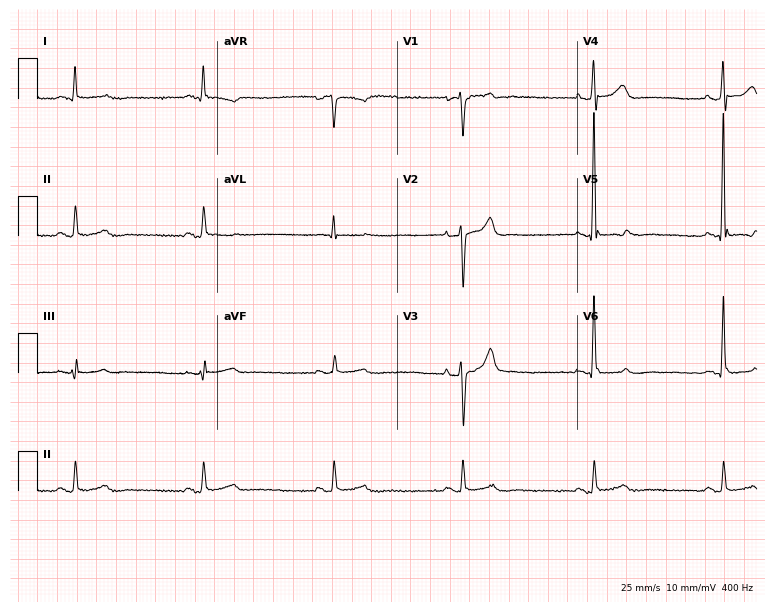
ECG (7.3-second recording at 400 Hz) — a 76-year-old male patient. Screened for six findings — first-degree AV block, right bundle branch block (RBBB), left bundle branch block (LBBB), sinus bradycardia, atrial fibrillation (AF), sinus tachycardia — none is recorded.